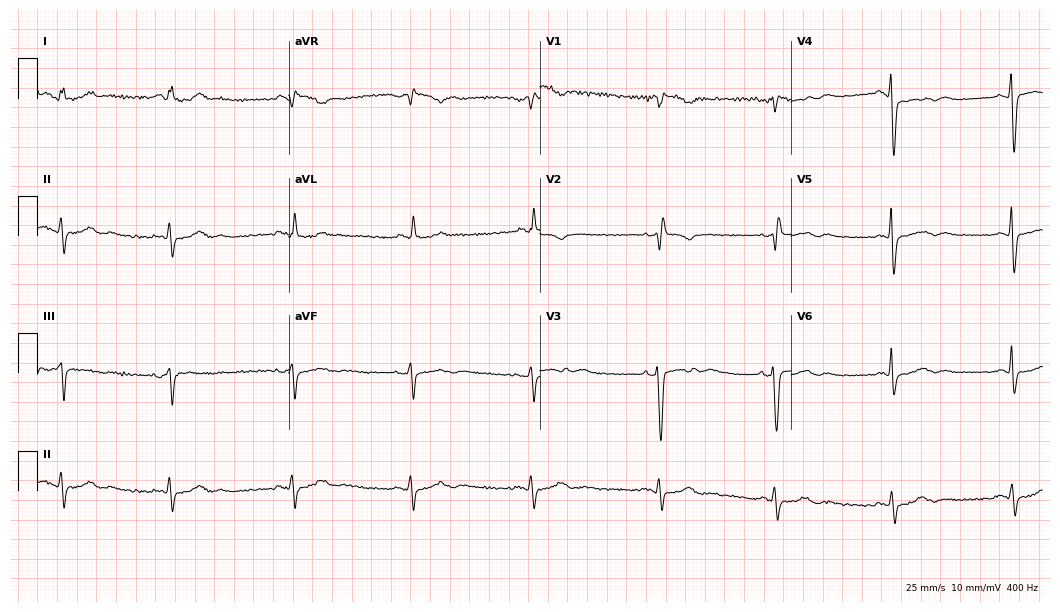
Standard 12-lead ECG recorded from a woman, 50 years old. None of these six findings is recorded: first-degree AV block, right bundle branch block (RBBB), left bundle branch block (LBBB), sinus bradycardia, atrial fibrillation (AF), sinus tachycardia.